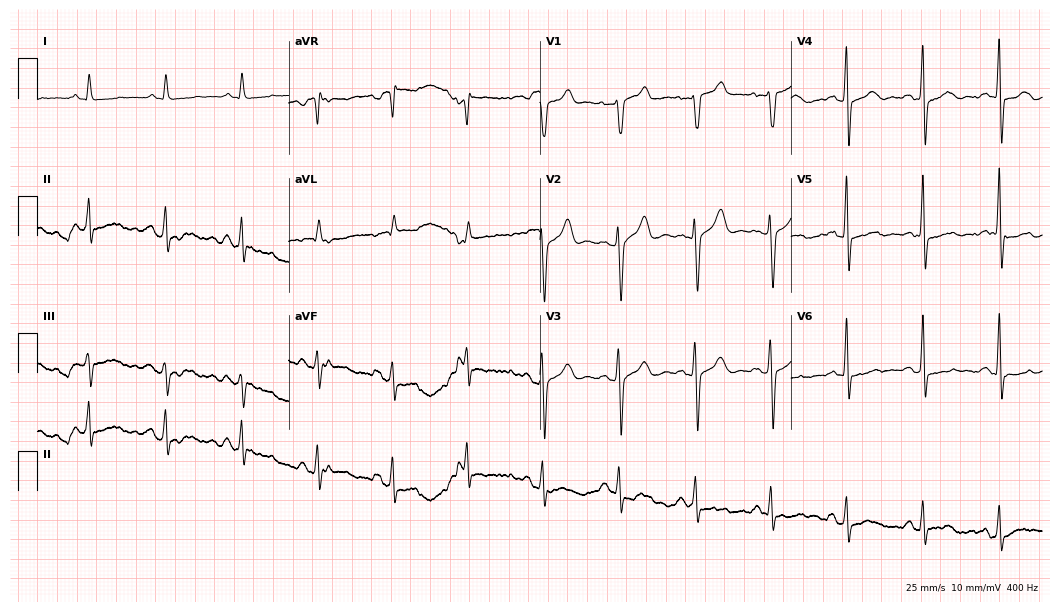
12-lead ECG (10.2-second recording at 400 Hz) from a 58-year-old man. Screened for six findings — first-degree AV block, right bundle branch block, left bundle branch block, sinus bradycardia, atrial fibrillation, sinus tachycardia — none is recorded.